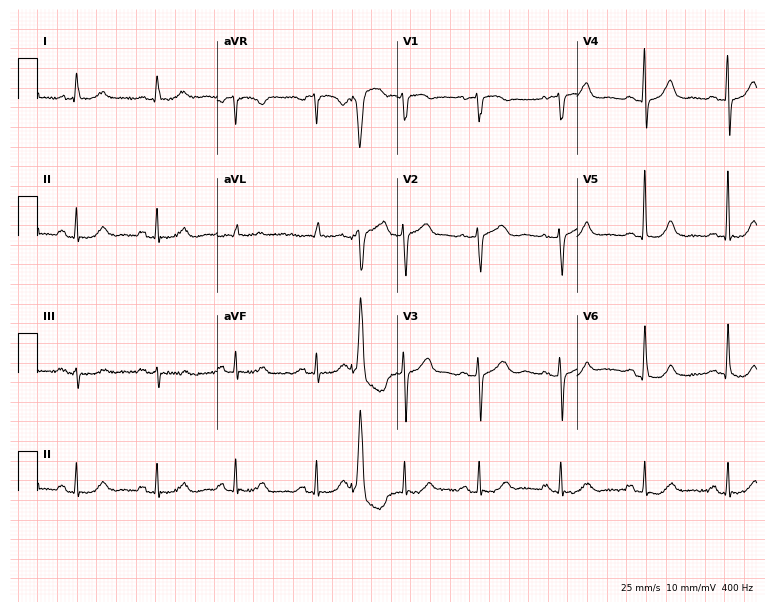
Resting 12-lead electrocardiogram (7.3-second recording at 400 Hz). Patient: a female, 80 years old. None of these six findings is recorded: first-degree AV block, right bundle branch block (RBBB), left bundle branch block (LBBB), sinus bradycardia, atrial fibrillation (AF), sinus tachycardia. Findings outside these six are not listed.